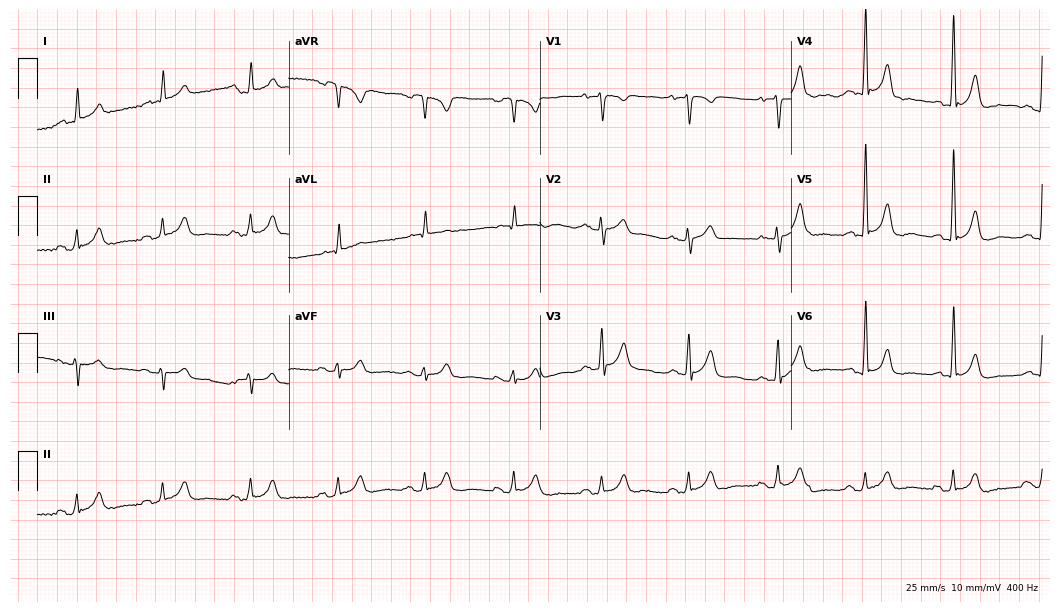
12-lead ECG from a man, 68 years old. Screened for six findings — first-degree AV block, right bundle branch block, left bundle branch block, sinus bradycardia, atrial fibrillation, sinus tachycardia — none is recorded.